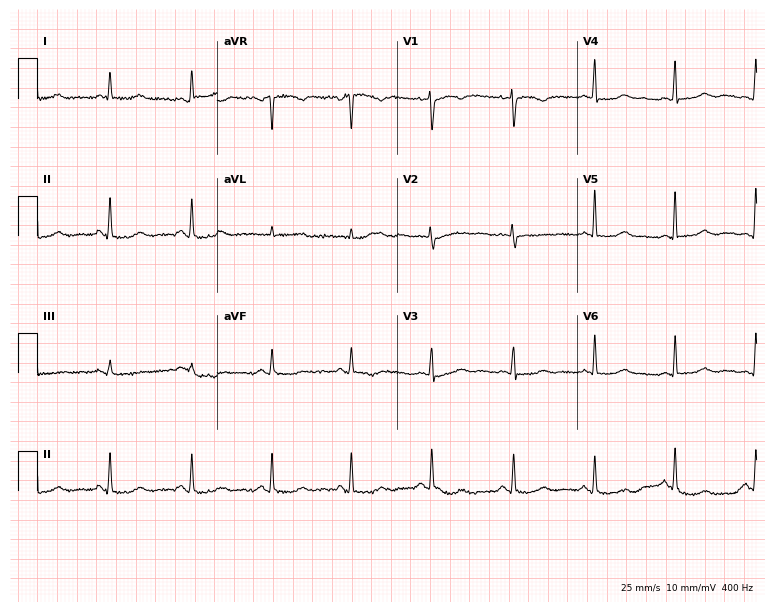
12-lead ECG from a female patient, 70 years old. No first-degree AV block, right bundle branch block (RBBB), left bundle branch block (LBBB), sinus bradycardia, atrial fibrillation (AF) or sinus tachycardia recorded for this tracing.